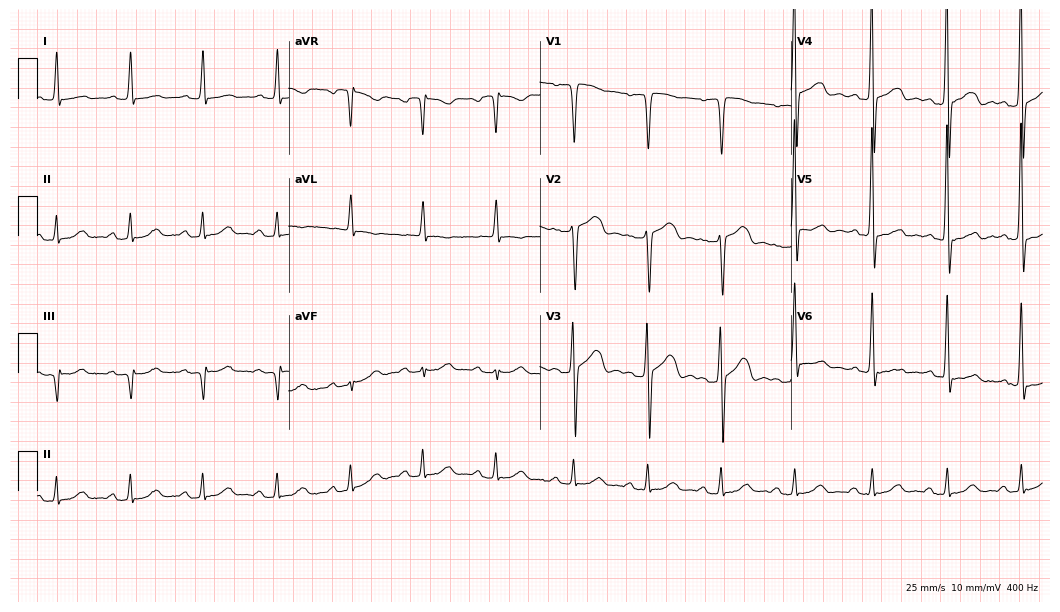
Electrocardiogram, a female, 61 years old. Of the six screened findings (first-degree AV block, right bundle branch block, left bundle branch block, sinus bradycardia, atrial fibrillation, sinus tachycardia), none is recorded. Other findings, if any, are not listed.